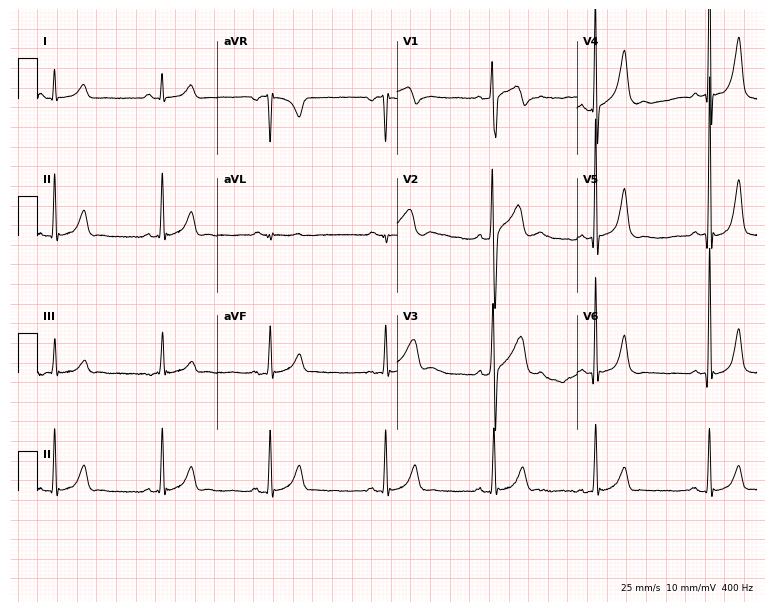
Resting 12-lead electrocardiogram. Patient: a male, 34 years old. None of these six findings is recorded: first-degree AV block, right bundle branch block (RBBB), left bundle branch block (LBBB), sinus bradycardia, atrial fibrillation (AF), sinus tachycardia. Other findings, if any, are not listed.